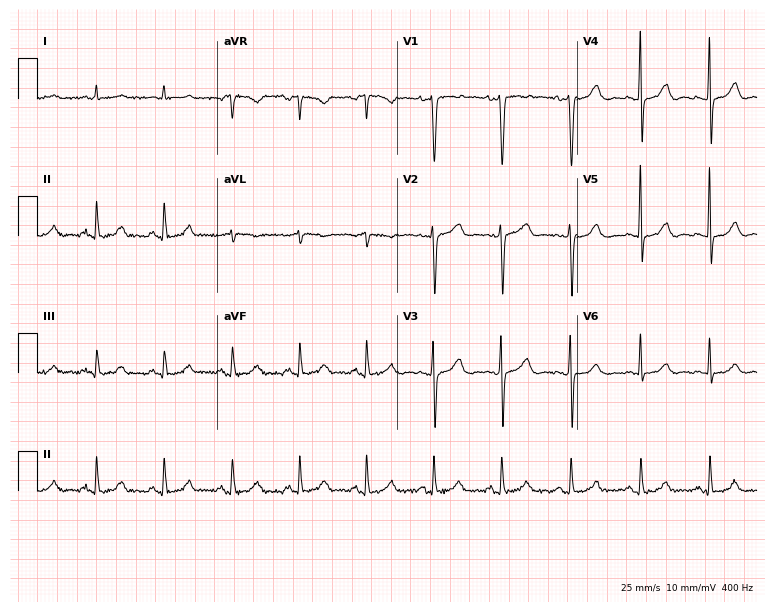
Electrocardiogram, a 62-year-old female patient. Of the six screened findings (first-degree AV block, right bundle branch block (RBBB), left bundle branch block (LBBB), sinus bradycardia, atrial fibrillation (AF), sinus tachycardia), none is recorded.